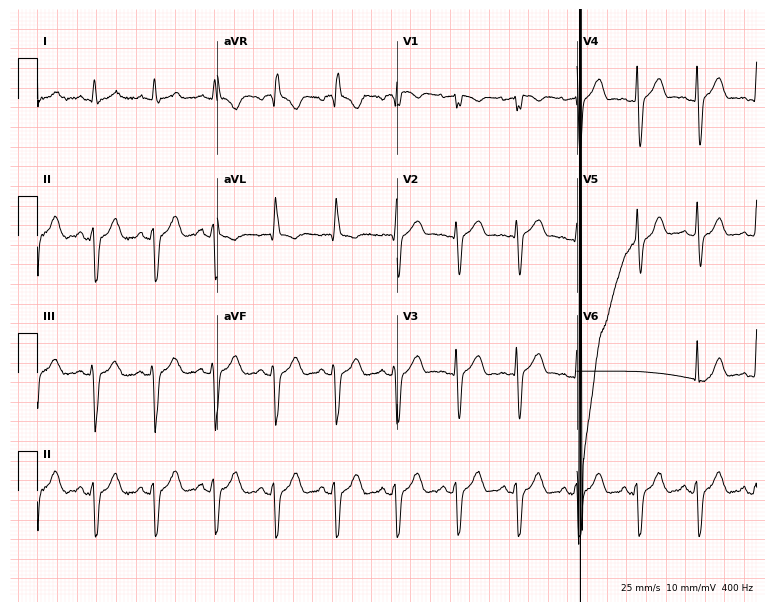
Electrocardiogram (7.3-second recording at 400 Hz), a 68-year-old man. Of the six screened findings (first-degree AV block, right bundle branch block (RBBB), left bundle branch block (LBBB), sinus bradycardia, atrial fibrillation (AF), sinus tachycardia), none is recorded.